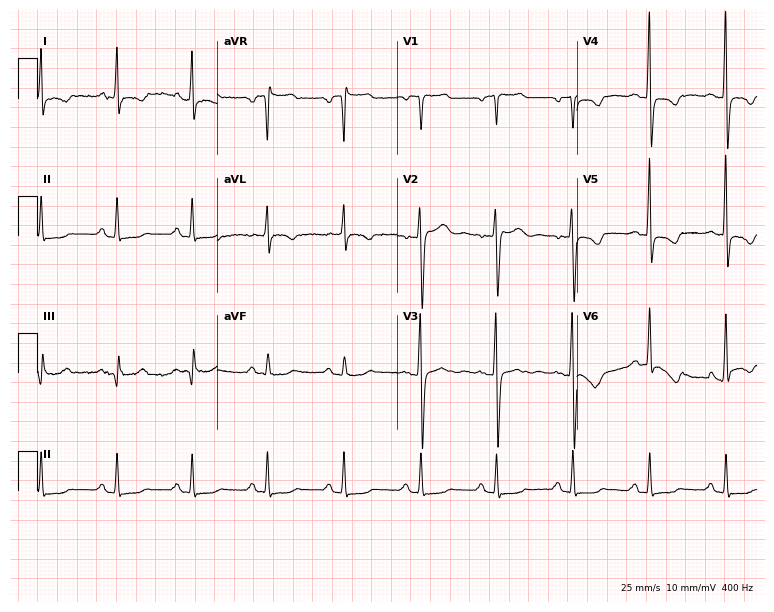
Standard 12-lead ECG recorded from a 63-year-old woman. None of these six findings is recorded: first-degree AV block, right bundle branch block, left bundle branch block, sinus bradycardia, atrial fibrillation, sinus tachycardia. Only these six findings were labelled.